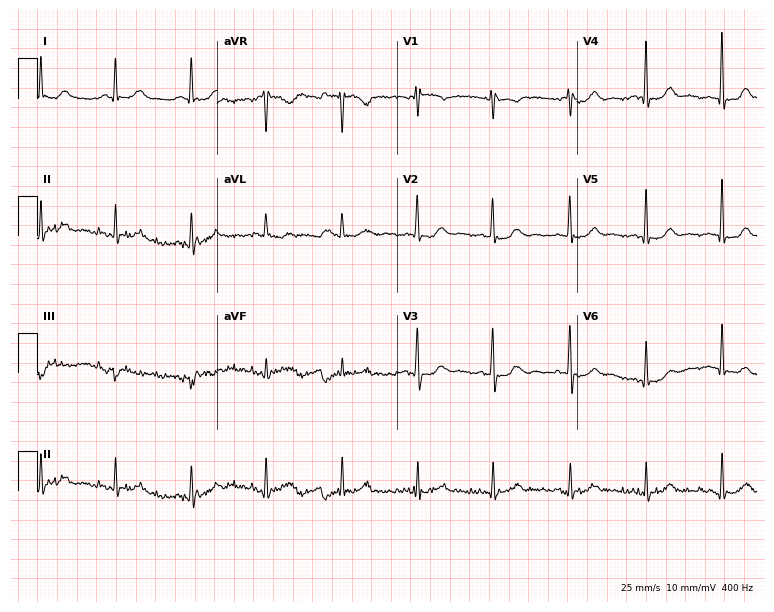
12-lead ECG from a 73-year-old female. Labelled as a normal ECG.